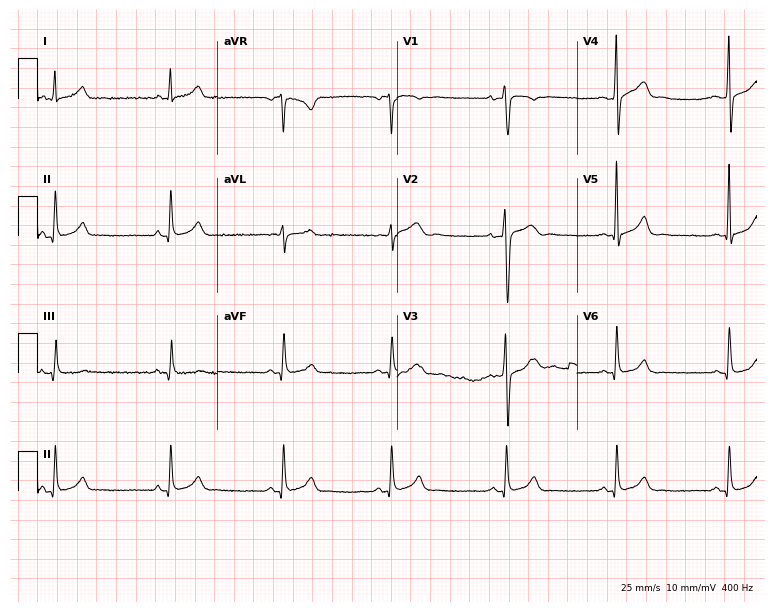
ECG (7.3-second recording at 400 Hz) — a 38-year-old man. Labelled as a normal ECG.